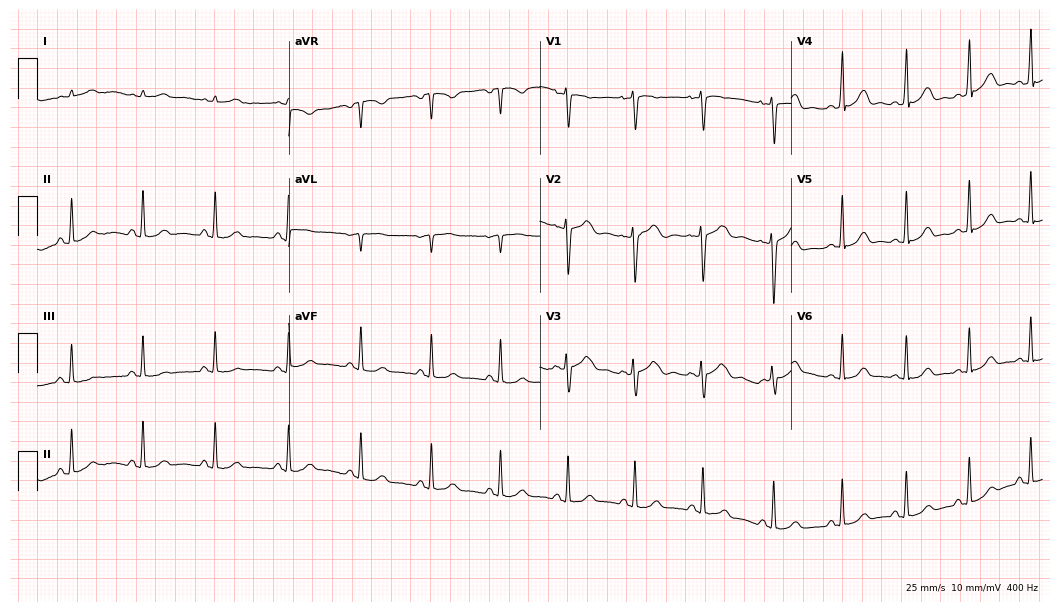
Standard 12-lead ECG recorded from a female patient, 23 years old. None of these six findings is recorded: first-degree AV block, right bundle branch block, left bundle branch block, sinus bradycardia, atrial fibrillation, sinus tachycardia. Other findings, if any, are not listed.